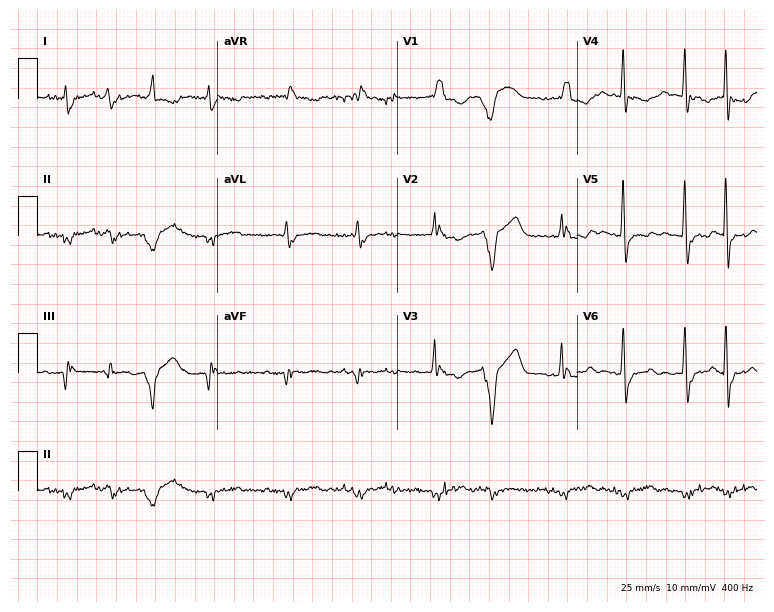
Electrocardiogram, an 84-year-old male patient. Of the six screened findings (first-degree AV block, right bundle branch block, left bundle branch block, sinus bradycardia, atrial fibrillation, sinus tachycardia), none is recorded.